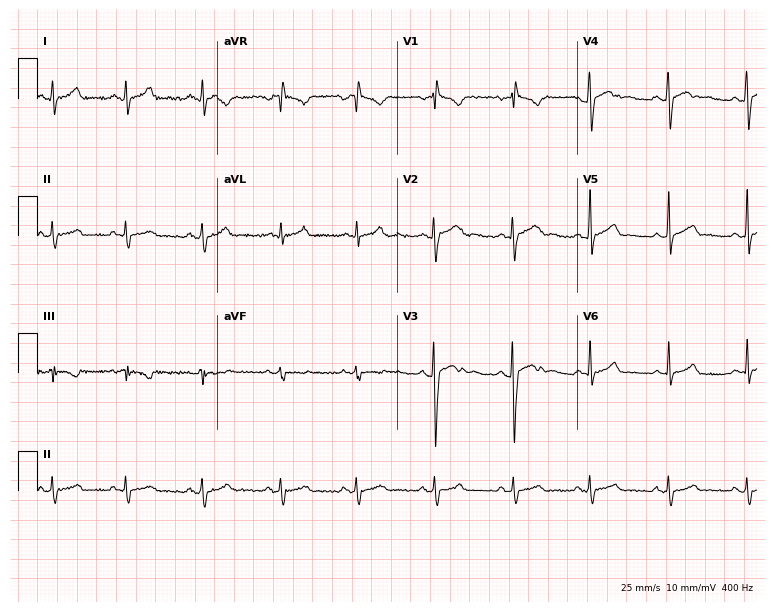
ECG — a male, 17 years old. Screened for six findings — first-degree AV block, right bundle branch block (RBBB), left bundle branch block (LBBB), sinus bradycardia, atrial fibrillation (AF), sinus tachycardia — none is recorded. Only these six findings were labelled.